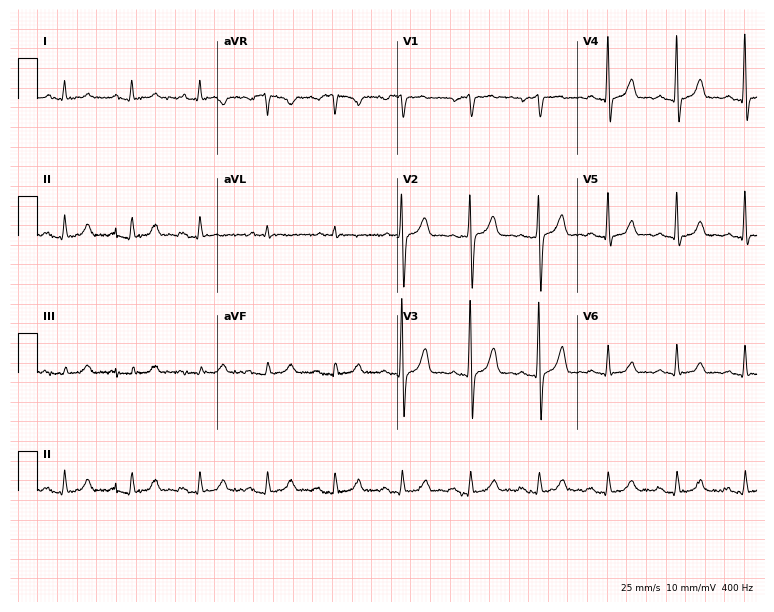
12-lead ECG from a male, 80 years old. Recorded interpretation: within normal limits.